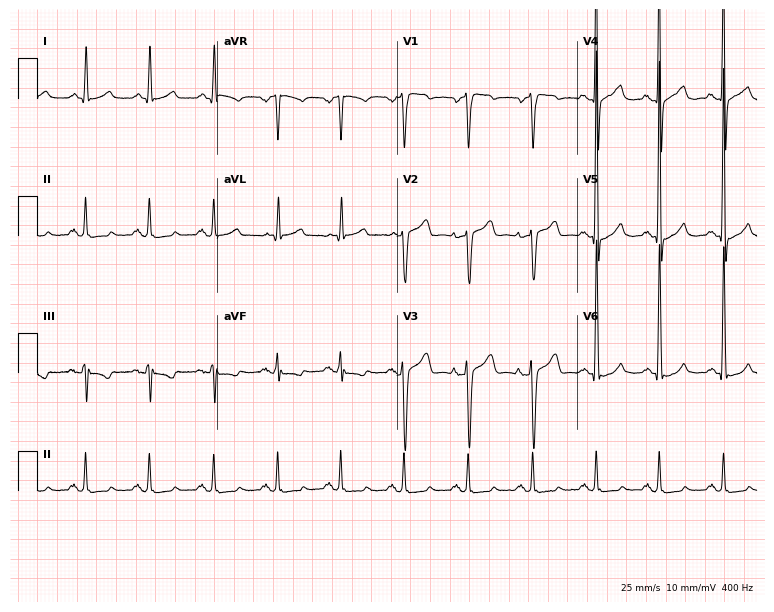
12-lead ECG from a 64-year-old man. Recorded interpretation: within normal limits.